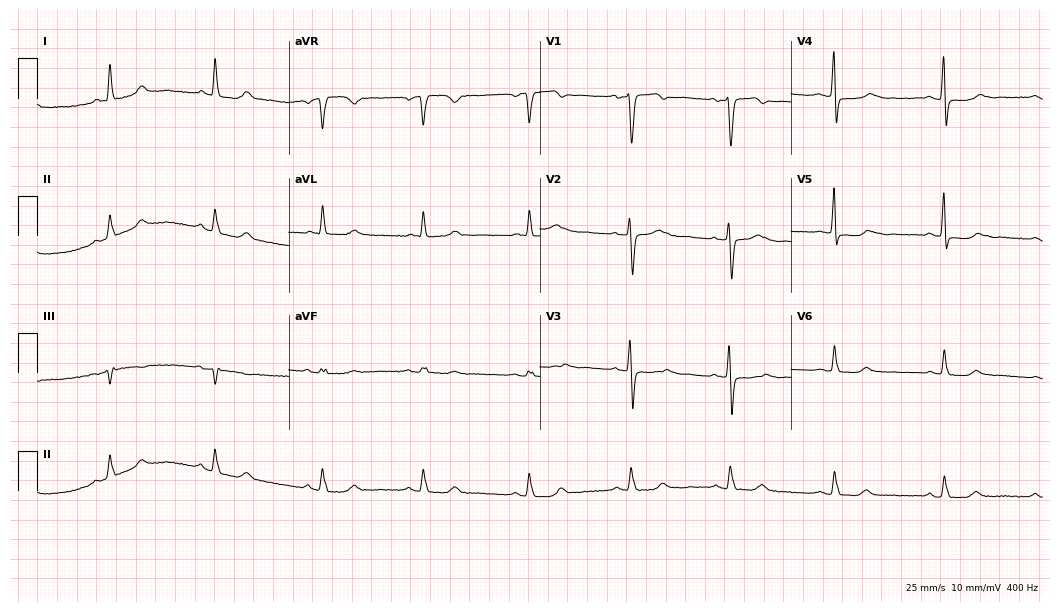
Electrocardiogram (10.2-second recording at 400 Hz), a female patient, 70 years old. Overall reading on record: normal ECG.